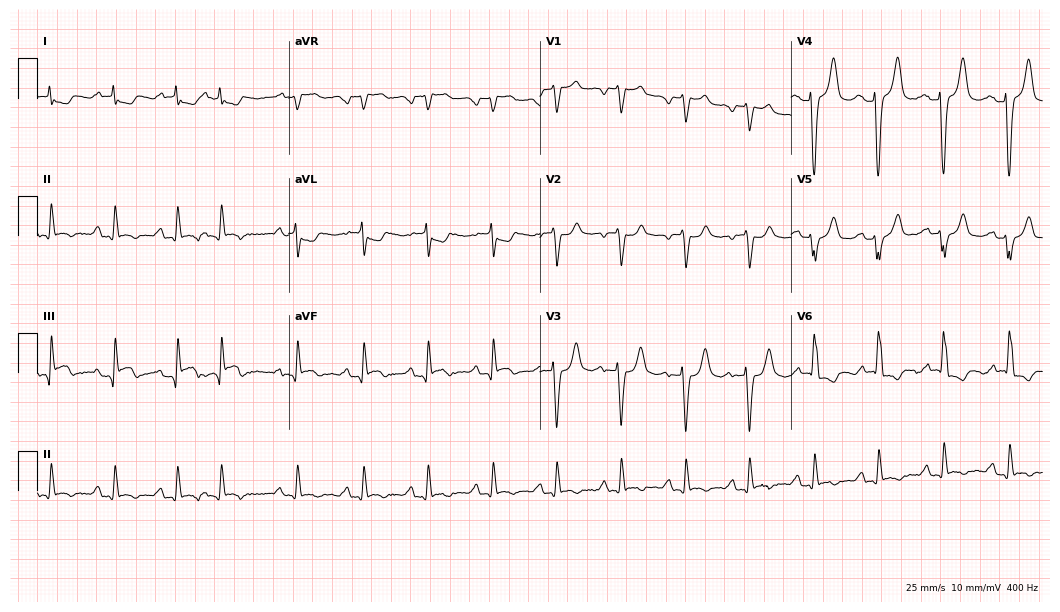
ECG (10.2-second recording at 400 Hz) — a male patient, 73 years old. Screened for six findings — first-degree AV block, right bundle branch block, left bundle branch block, sinus bradycardia, atrial fibrillation, sinus tachycardia — none is recorded.